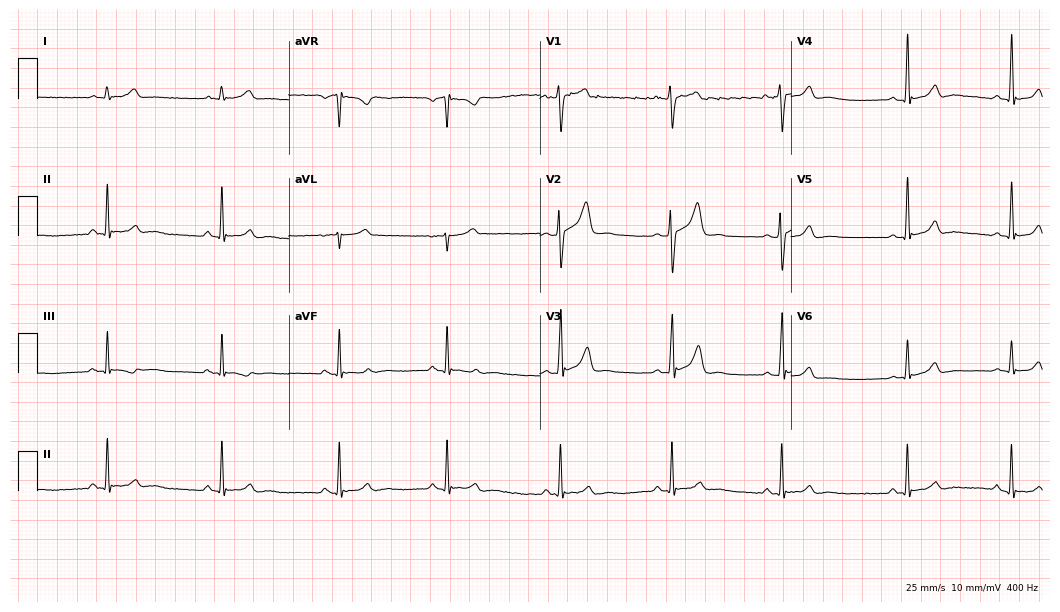
12-lead ECG from a male, 20 years old. Screened for six findings — first-degree AV block, right bundle branch block, left bundle branch block, sinus bradycardia, atrial fibrillation, sinus tachycardia — none is recorded. Other findings, if any, are not listed.